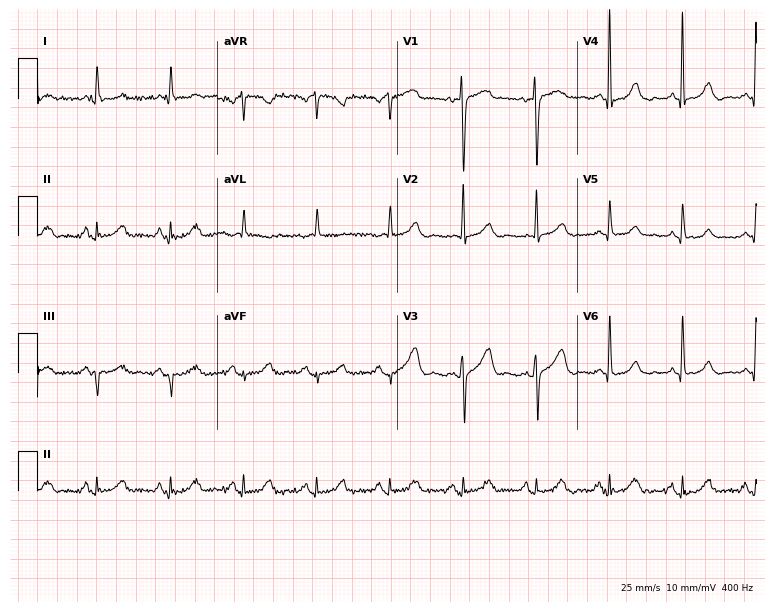
Resting 12-lead electrocardiogram (7.3-second recording at 400 Hz). Patient: an 80-year-old female. Read as a normal ECG.